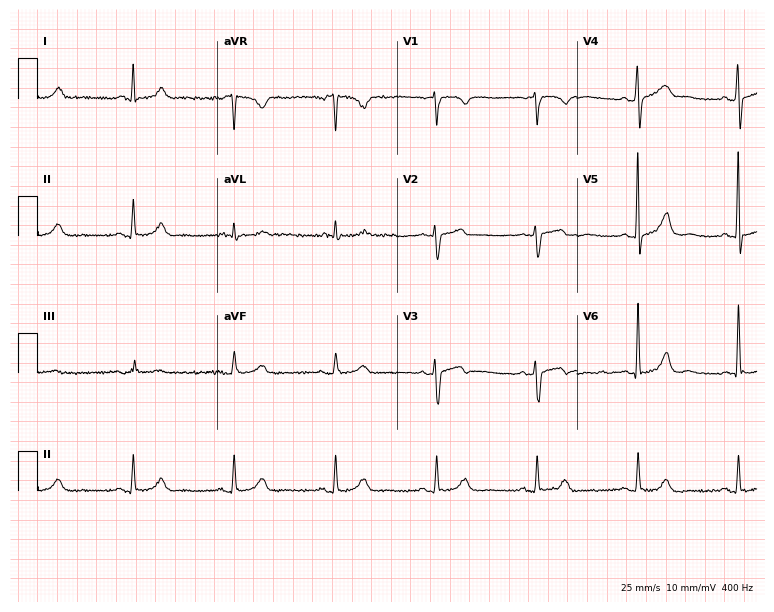
ECG (7.3-second recording at 400 Hz) — a man, 55 years old. Screened for six findings — first-degree AV block, right bundle branch block, left bundle branch block, sinus bradycardia, atrial fibrillation, sinus tachycardia — none is recorded.